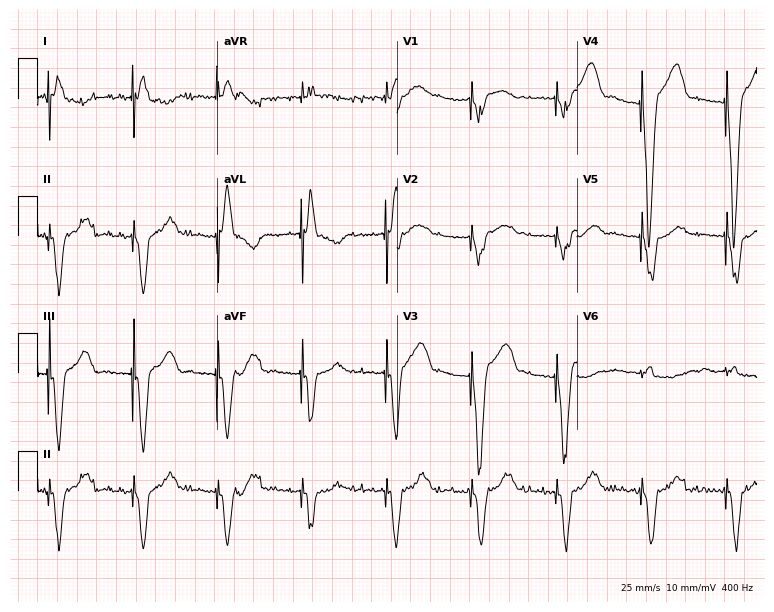
Standard 12-lead ECG recorded from a female, 85 years old (7.3-second recording at 400 Hz). None of these six findings is recorded: first-degree AV block, right bundle branch block, left bundle branch block, sinus bradycardia, atrial fibrillation, sinus tachycardia. Other findings, if any, are not listed.